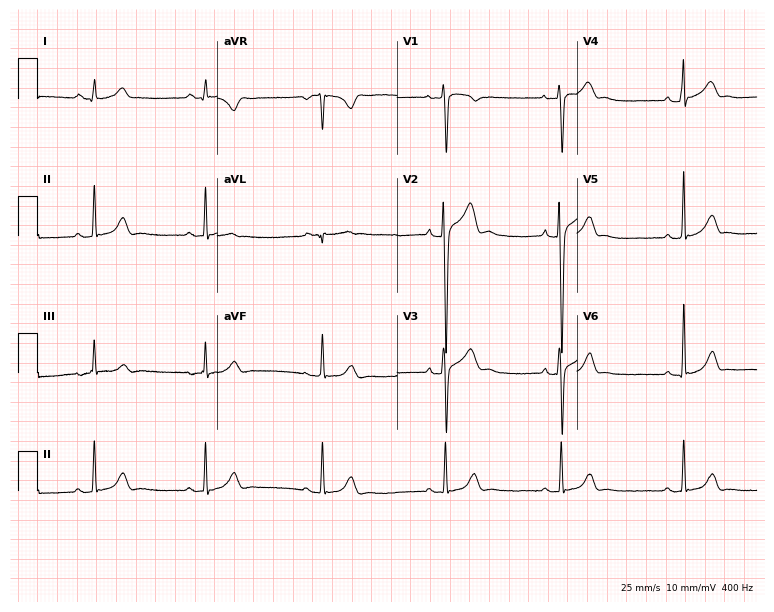
Resting 12-lead electrocardiogram (7.3-second recording at 400 Hz). Patient: a 20-year-old male. The tracing shows sinus bradycardia (a sinus rate of 50 beats per minute or less).